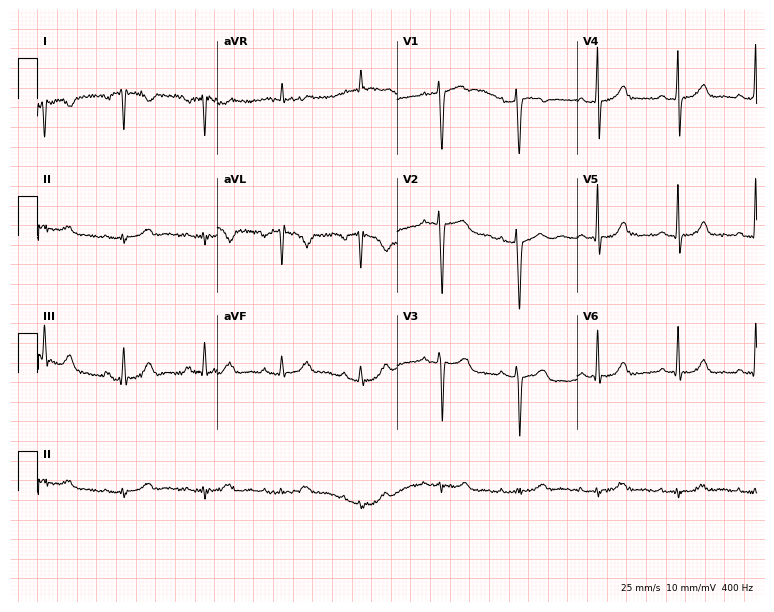
ECG — a 64-year-old female patient. Screened for six findings — first-degree AV block, right bundle branch block, left bundle branch block, sinus bradycardia, atrial fibrillation, sinus tachycardia — none is recorded. Findings outside these six are not listed.